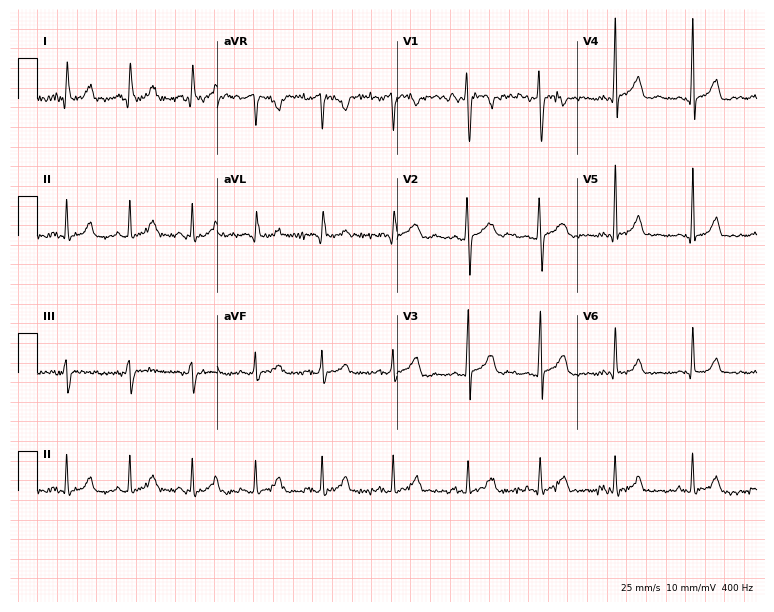
12-lead ECG from a female, 22 years old. Screened for six findings — first-degree AV block, right bundle branch block, left bundle branch block, sinus bradycardia, atrial fibrillation, sinus tachycardia — none is recorded.